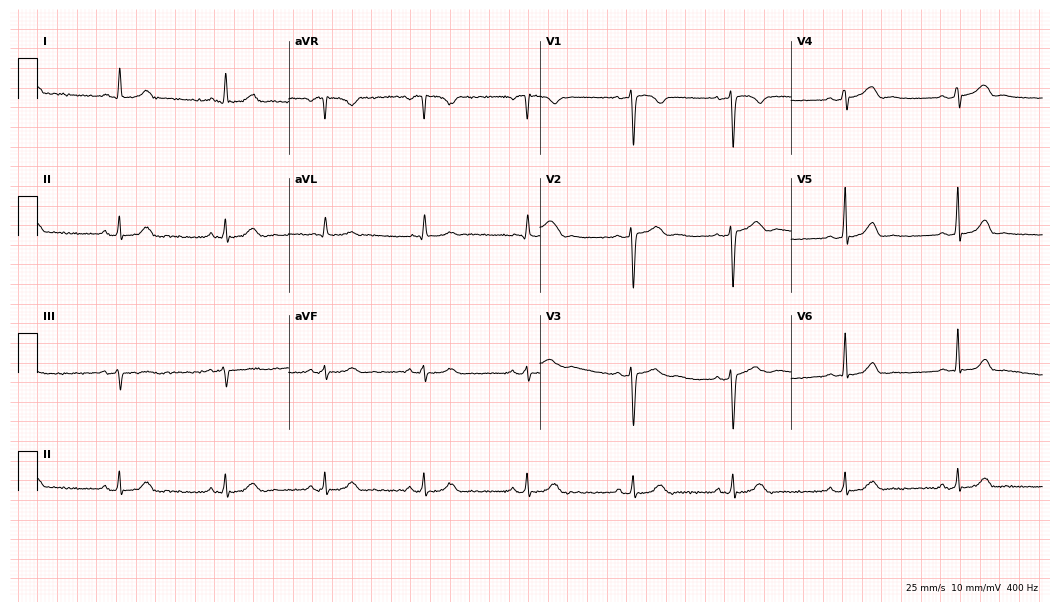
Electrocardiogram (10.2-second recording at 400 Hz), a 72-year-old male. Overall reading on record: normal ECG.